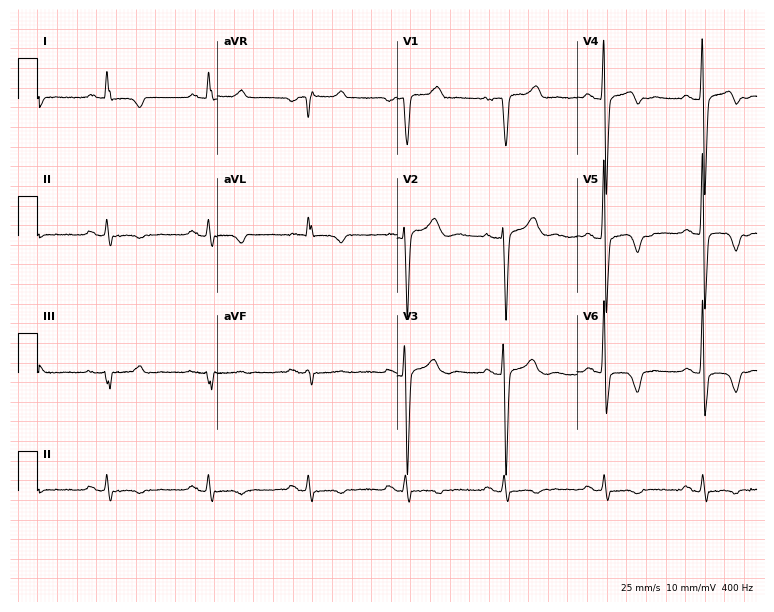
ECG — a 64-year-old man. Screened for six findings — first-degree AV block, right bundle branch block (RBBB), left bundle branch block (LBBB), sinus bradycardia, atrial fibrillation (AF), sinus tachycardia — none is recorded.